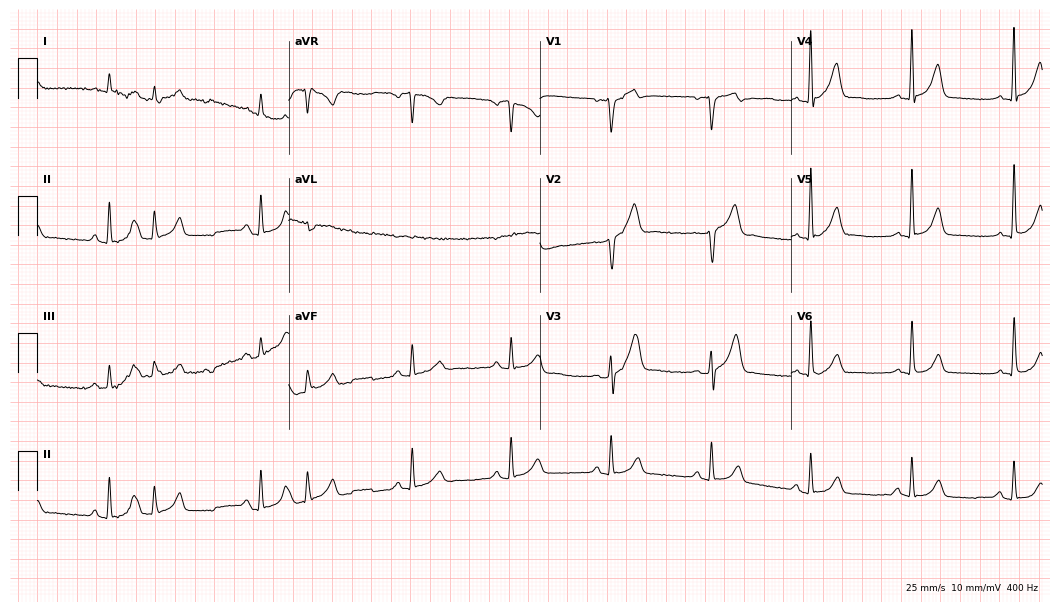
Electrocardiogram, a 78-year-old man. Of the six screened findings (first-degree AV block, right bundle branch block (RBBB), left bundle branch block (LBBB), sinus bradycardia, atrial fibrillation (AF), sinus tachycardia), none is recorded.